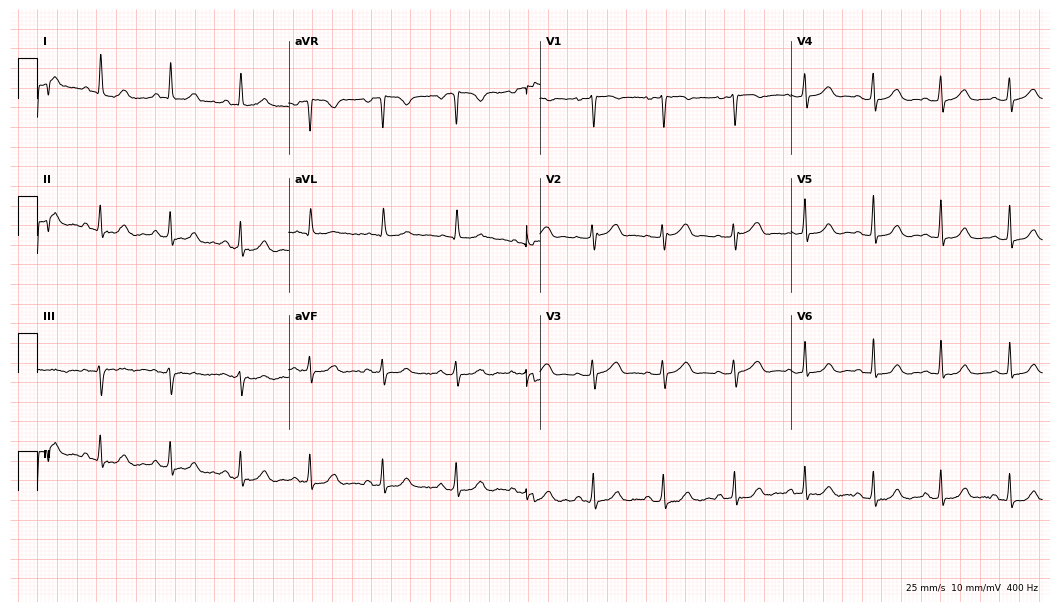
Standard 12-lead ECG recorded from a 39-year-old female. None of these six findings is recorded: first-degree AV block, right bundle branch block, left bundle branch block, sinus bradycardia, atrial fibrillation, sinus tachycardia.